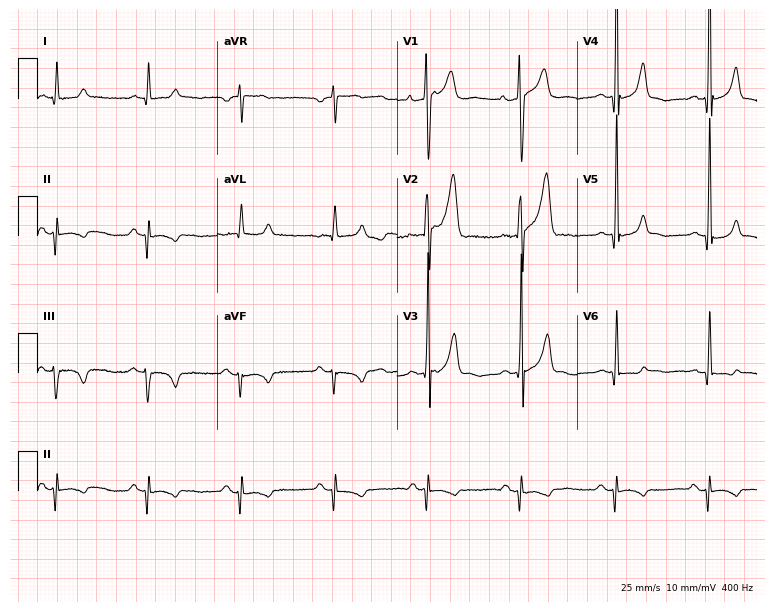
ECG — a man, 48 years old. Screened for six findings — first-degree AV block, right bundle branch block (RBBB), left bundle branch block (LBBB), sinus bradycardia, atrial fibrillation (AF), sinus tachycardia — none is recorded.